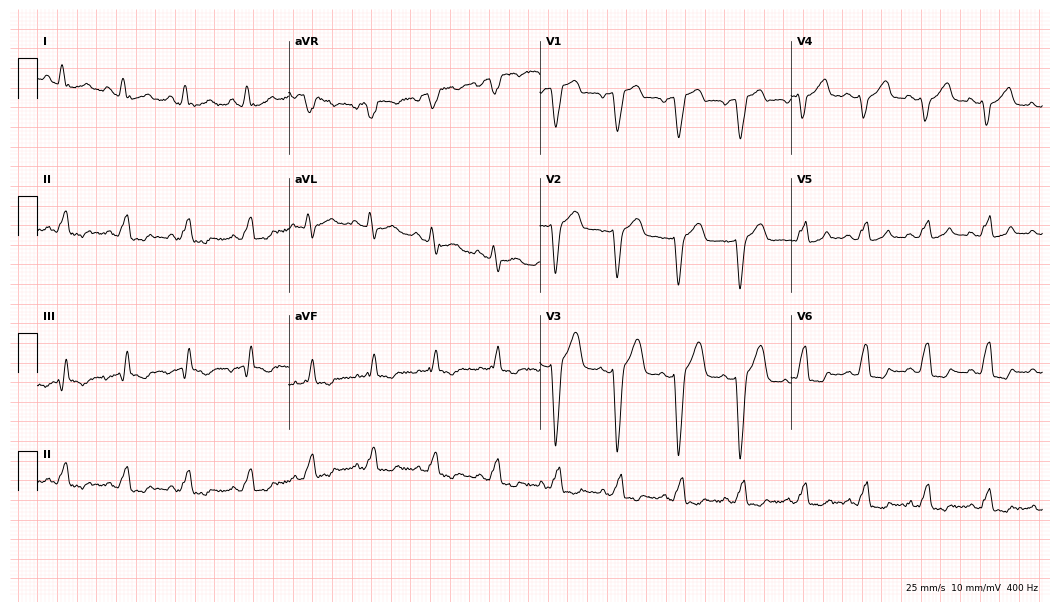
ECG — a 68-year-old male patient. Findings include left bundle branch block.